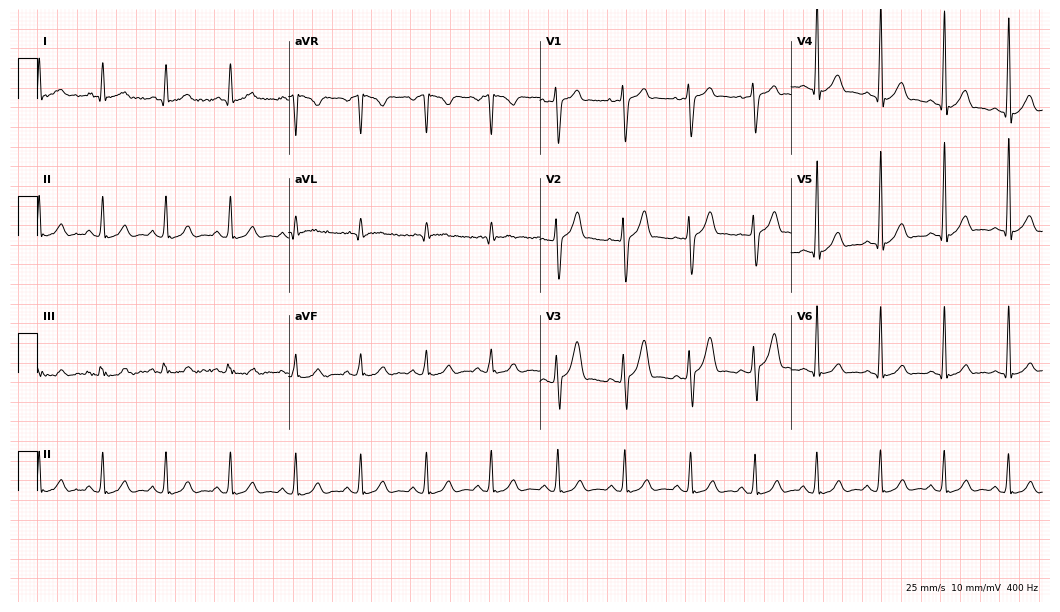
12-lead ECG from a male patient, 23 years old (10.2-second recording at 400 Hz). Recorded interpretation: within normal limits.